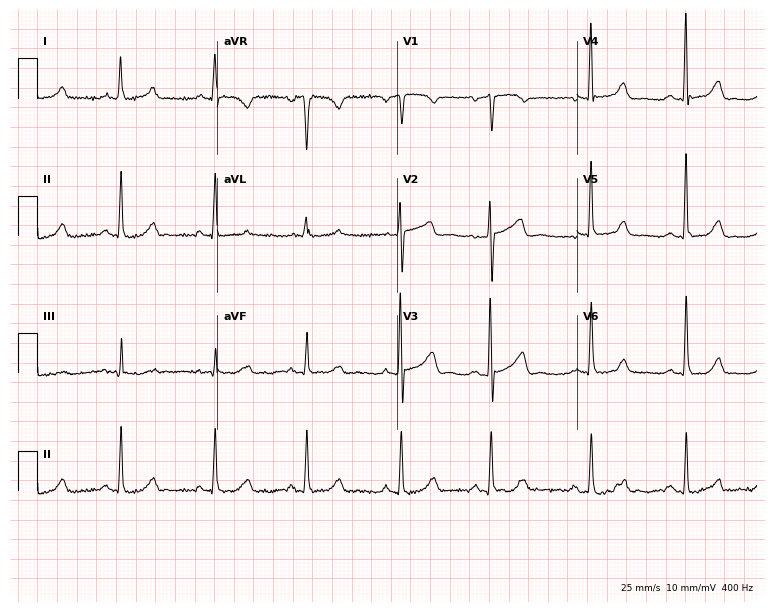
12-lead ECG (7.3-second recording at 400 Hz) from a 64-year-old female patient. Labelled as a normal ECG.